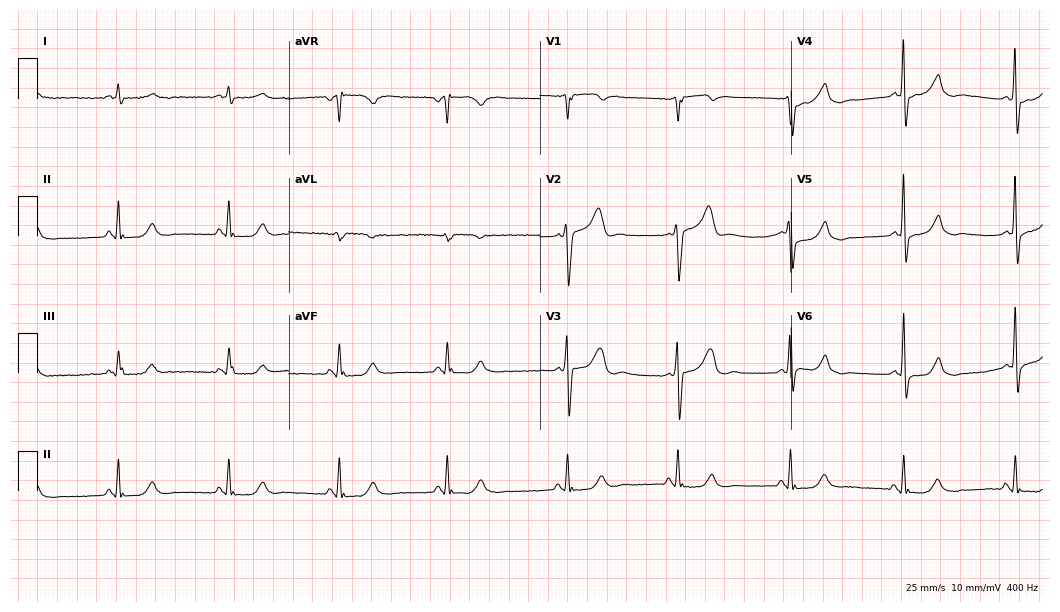
12-lead ECG from a male patient, 58 years old. Screened for six findings — first-degree AV block, right bundle branch block, left bundle branch block, sinus bradycardia, atrial fibrillation, sinus tachycardia — none is recorded. Findings outside these six are not listed.